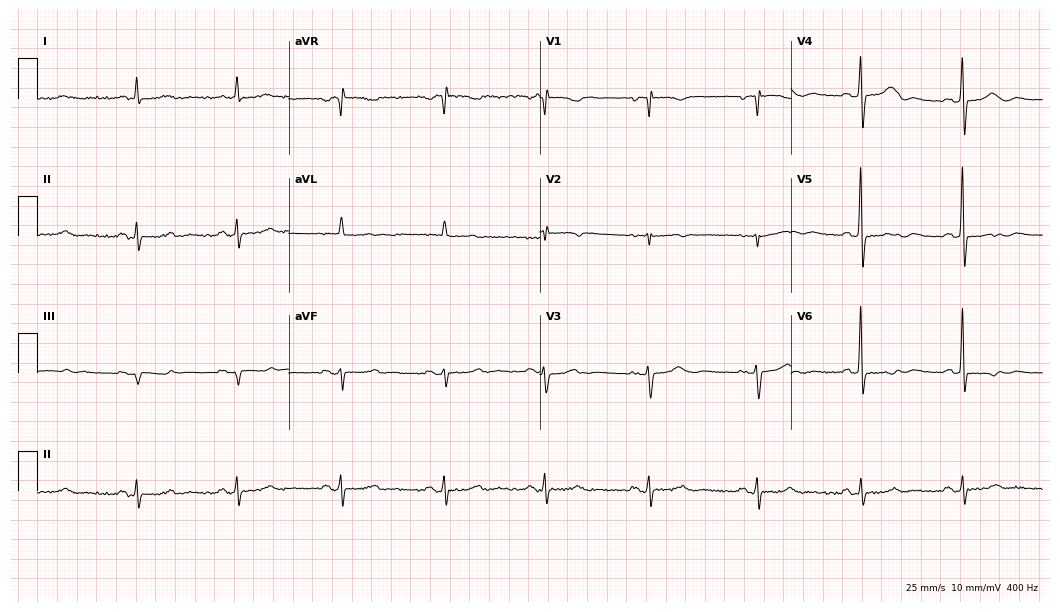
Electrocardiogram (10.2-second recording at 400 Hz), a 70-year-old female patient. Of the six screened findings (first-degree AV block, right bundle branch block, left bundle branch block, sinus bradycardia, atrial fibrillation, sinus tachycardia), none is recorded.